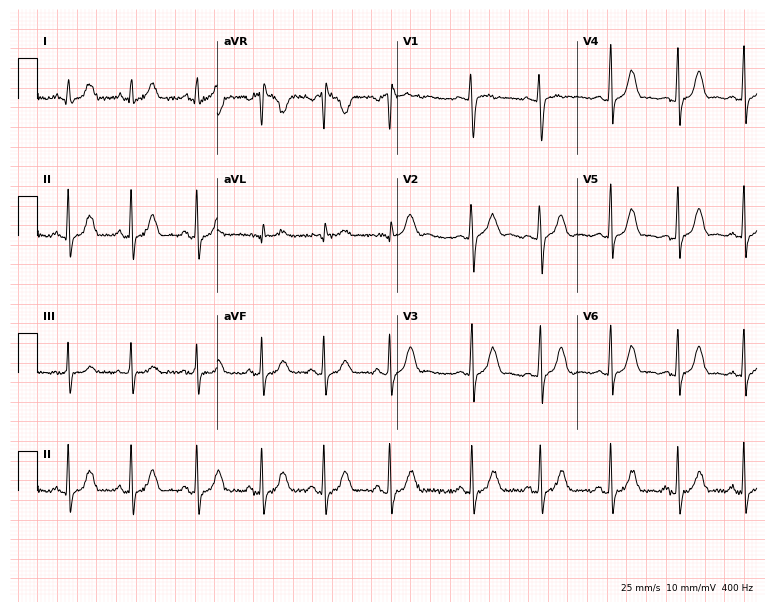
12-lead ECG from an 18-year-old female patient (7.3-second recording at 400 Hz). Recorded interpretation: within normal limits.